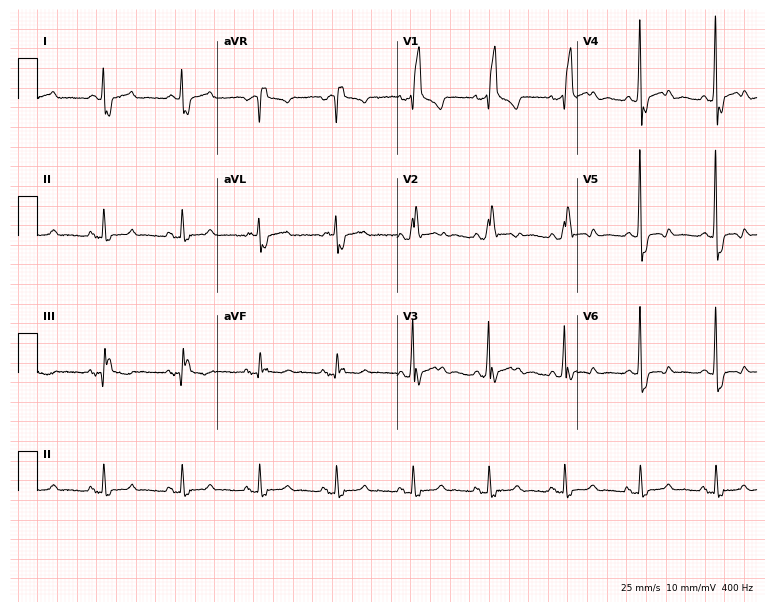
Electrocardiogram (7.3-second recording at 400 Hz), a 57-year-old man. Interpretation includes right bundle branch block.